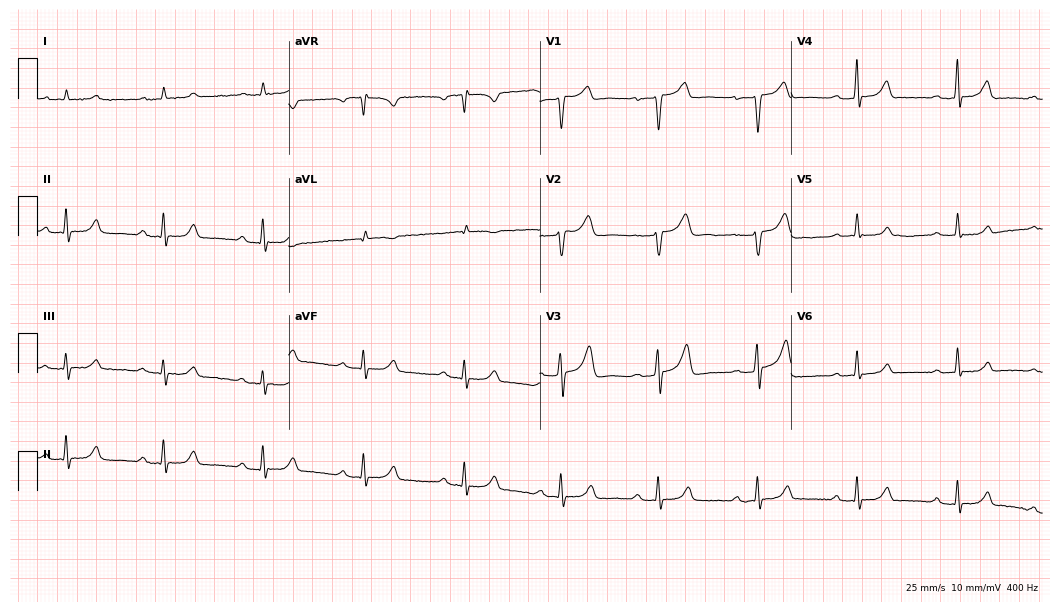
Resting 12-lead electrocardiogram. Patient: a male, 69 years old. None of these six findings is recorded: first-degree AV block, right bundle branch block, left bundle branch block, sinus bradycardia, atrial fibrillation, sinus tachycardia. Findings outside these six are not listed.